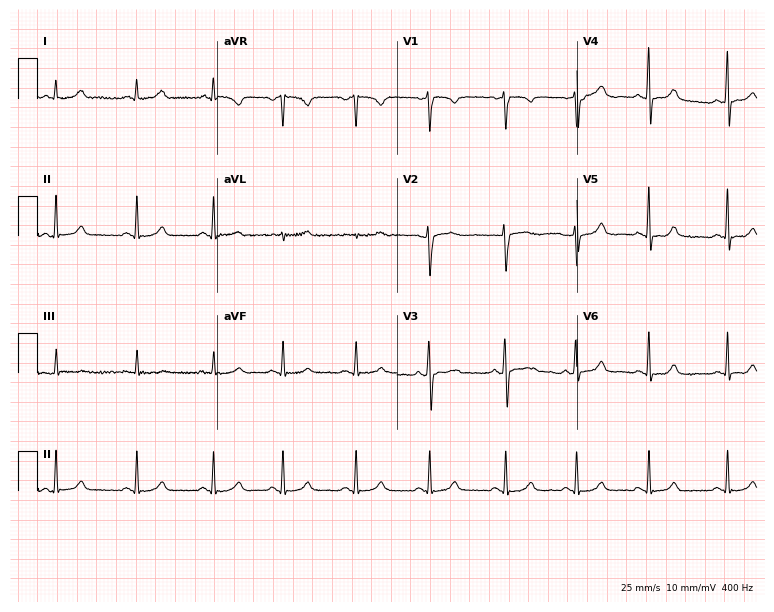
12-lead ECG from a 27-year-old woman. Labelled as a normal ECG.